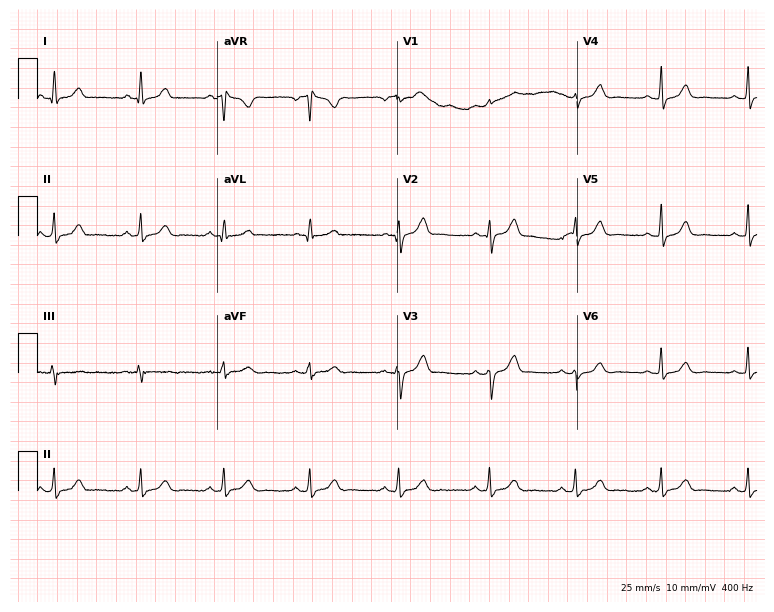
12-lead ECG from a female, 36 years old. Labelled as a normal ECG.